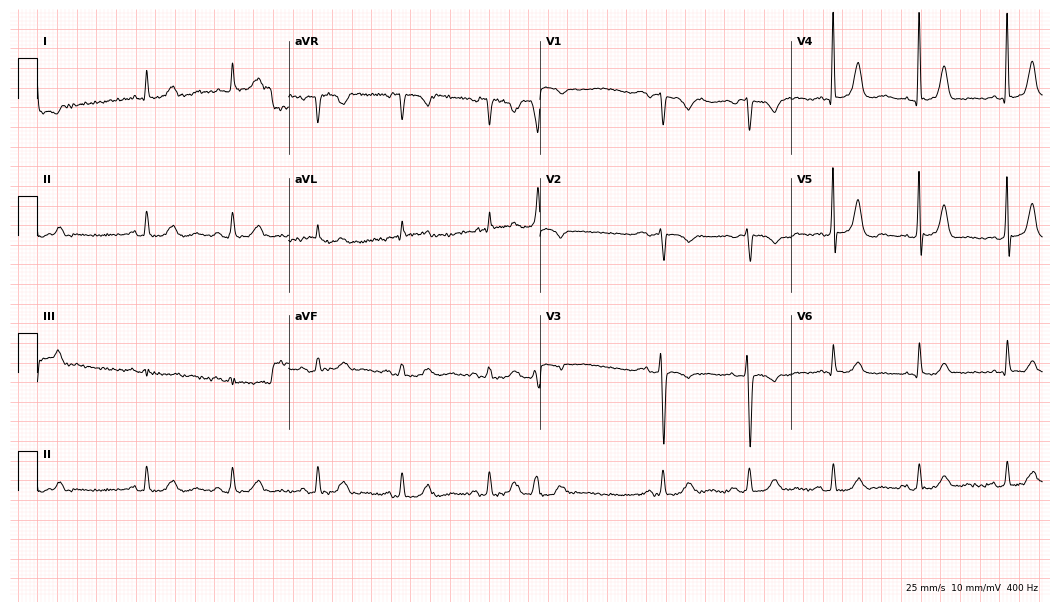
Standard 12-lead ECG recorded from a male, 83 years old. The tracing shows atrial fibrillation.